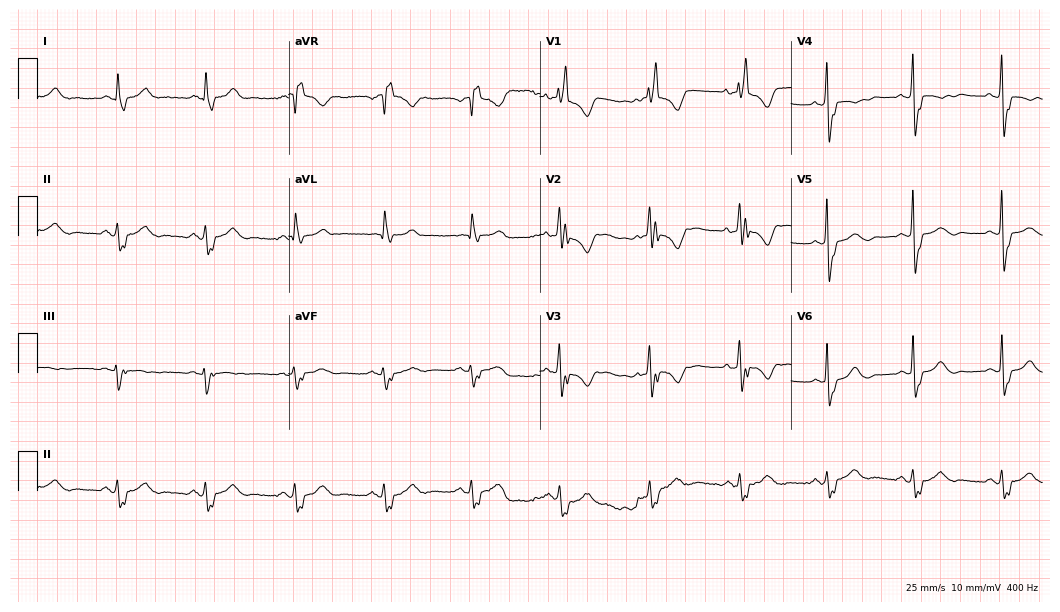
12-lead ECG (10.2-second recording at 400 Hz) from a 53-year-old female patient. Findings include right bundle branch block.